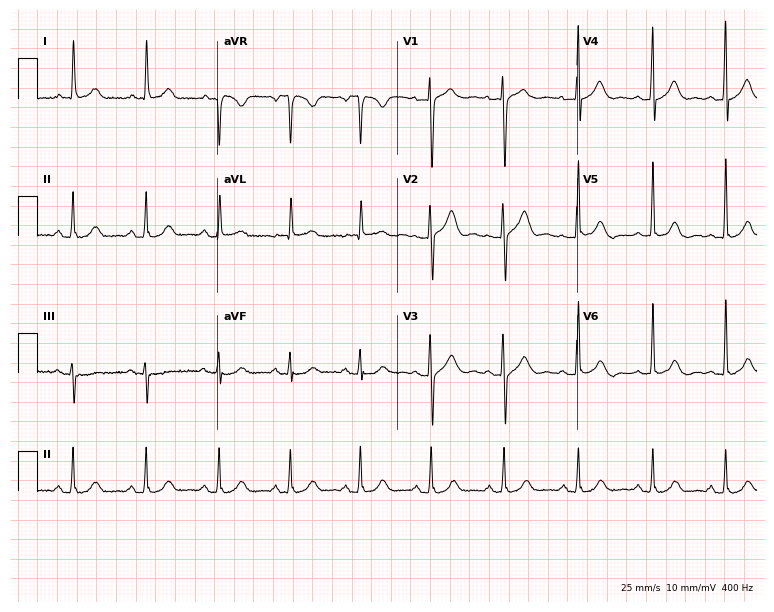
12-lead ECG from a female patient, 65 years old (7.3-second recording at 400 Hz). No first-degree AV block, right bundle branch block (RBBB), left bundle branch block (LBBB), sinus bradycardia, atrial fibrillation (AF) or sinus tachycardia recorded for this tracing. Findings outside these six are not listed.